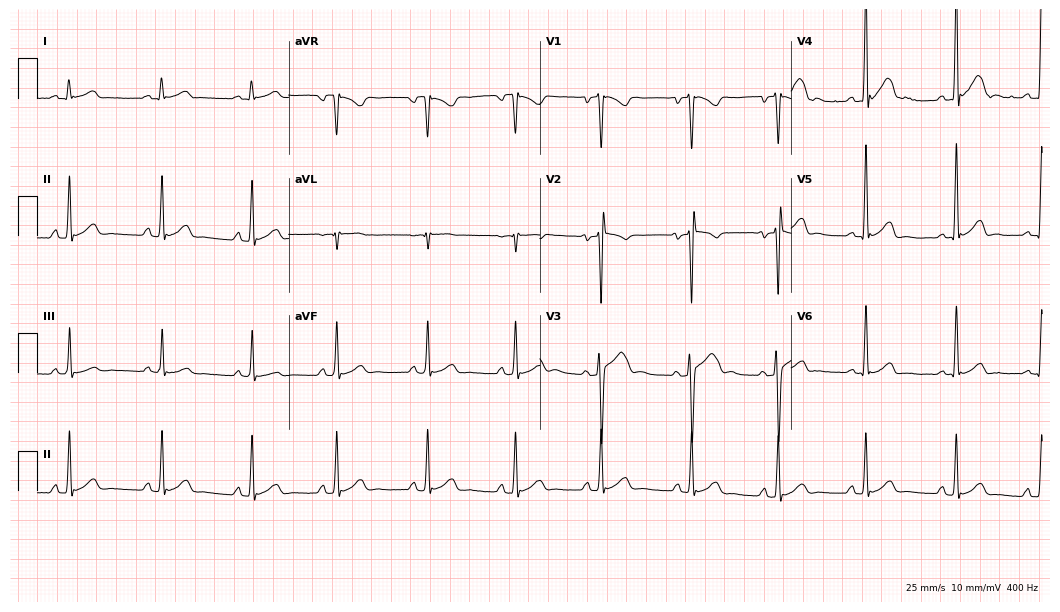
Standard 12-lead ECG recorded from a male patient, 20 years old. None of these six findings is recorded: first-degree AV block, right bundle branch block, left bundle branch block, sinus bradycardia, atrial fibrillation, sinus tachycardia. Findings outside these six are not listed.